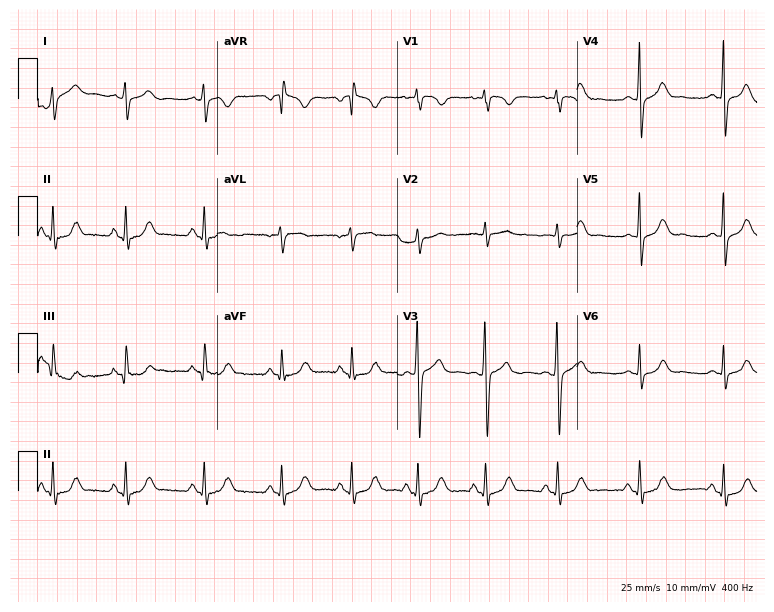
Resting 12-lead electrocardiogram (7.3-second recording at 400 Hz). Patient: a 17-year-old woman. None of these six findings is recorded: first-degree AV block, right bundle branch block (RBBB), left bundle branch block (LBBB), sinus bradycardia, atrial fibrillation (AF), sinus tachycardia. Only these six findings were labelled.